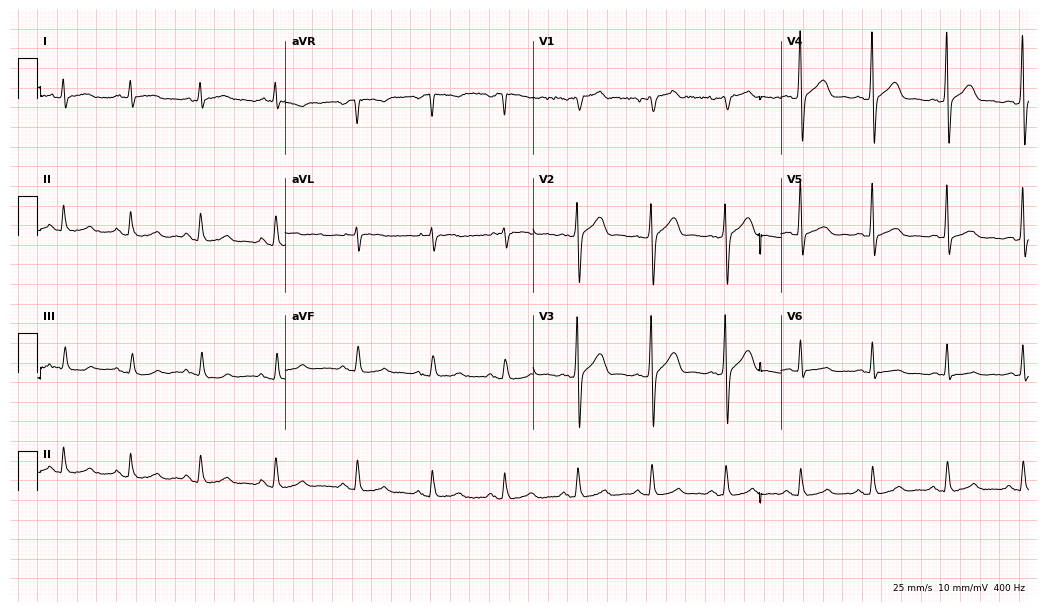
12-lead ECG from a 57-year-old man (10.1-second recording at 400 Hz). Recorded interpretation: within normal limits.